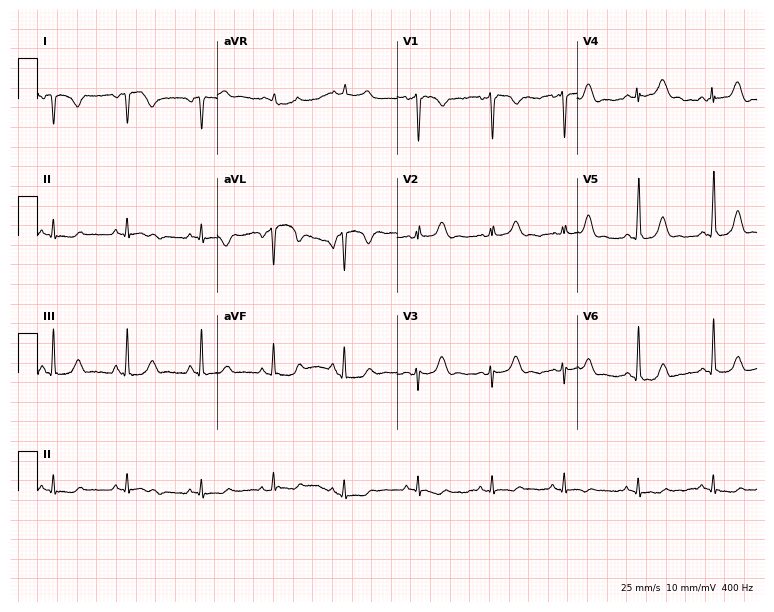
Resting 12-lead electrocardiogram (7.3-second recording at 400 Hz). Patient: a female, 41 years old. None of these six findings is recorded: first-degree AV block, right bundle branch block, left bundle branch block, sinus bradycardia, atrial fibrillation, sinus tachycardia. Other findings, if any, are not listed.